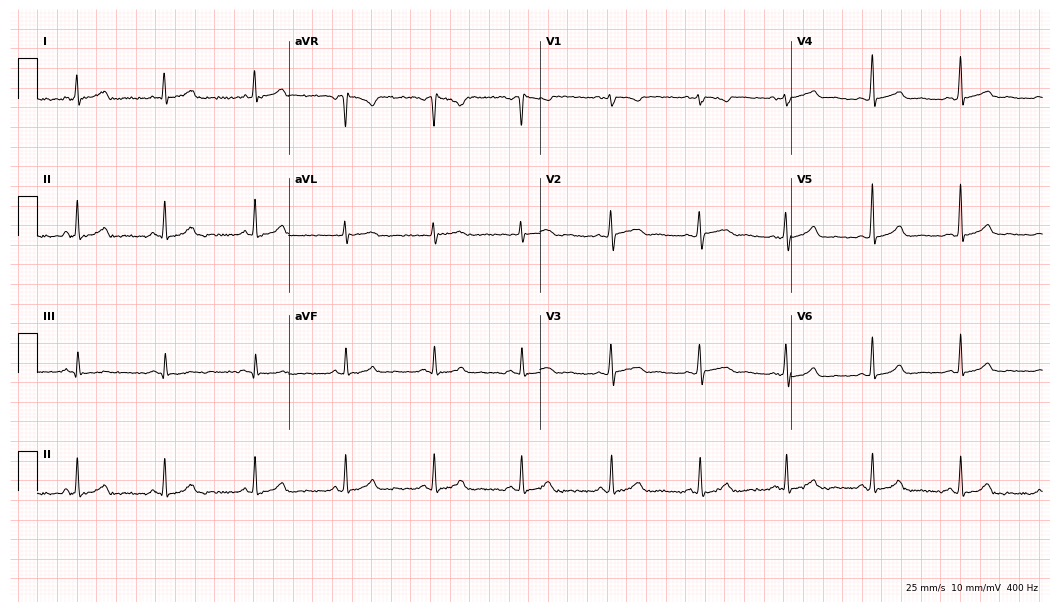
12-lead ECG from a female, 41 years old (10.2-second recording at 400 Hz). No first-degree AV block, right bundle branch block (RBBB), left bundle branch block (LBBB), sinus bradycardia, atrial fibrillation (AF) or sinus tachycardia recorded for this tracing. Only these six findings were labelled.